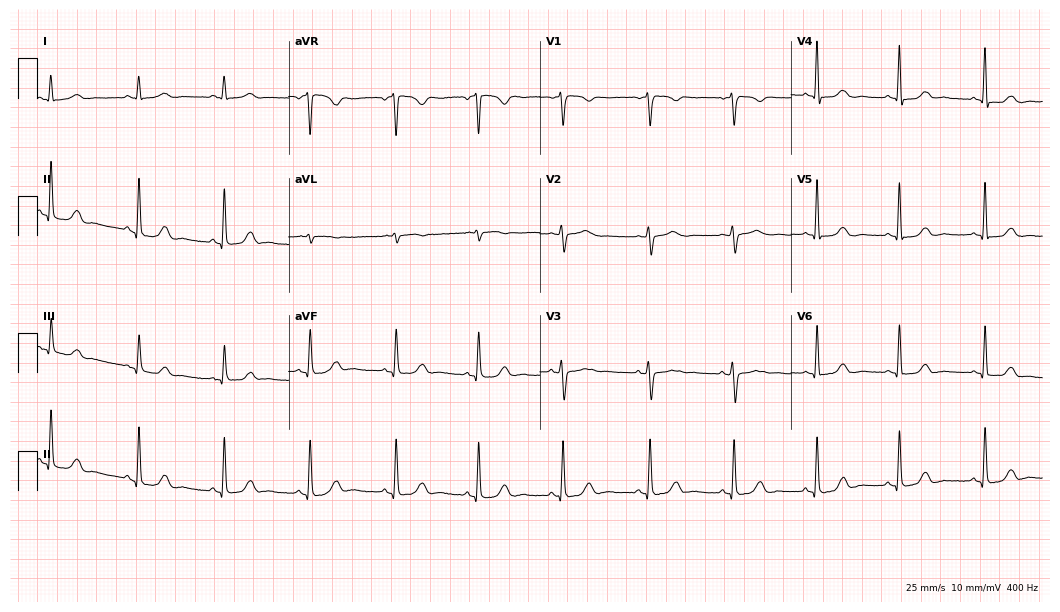
12-lead ECG from a woman, 49 years old (10.2-second recording at 400 Hz). Recorded interpretation: within normal limits.